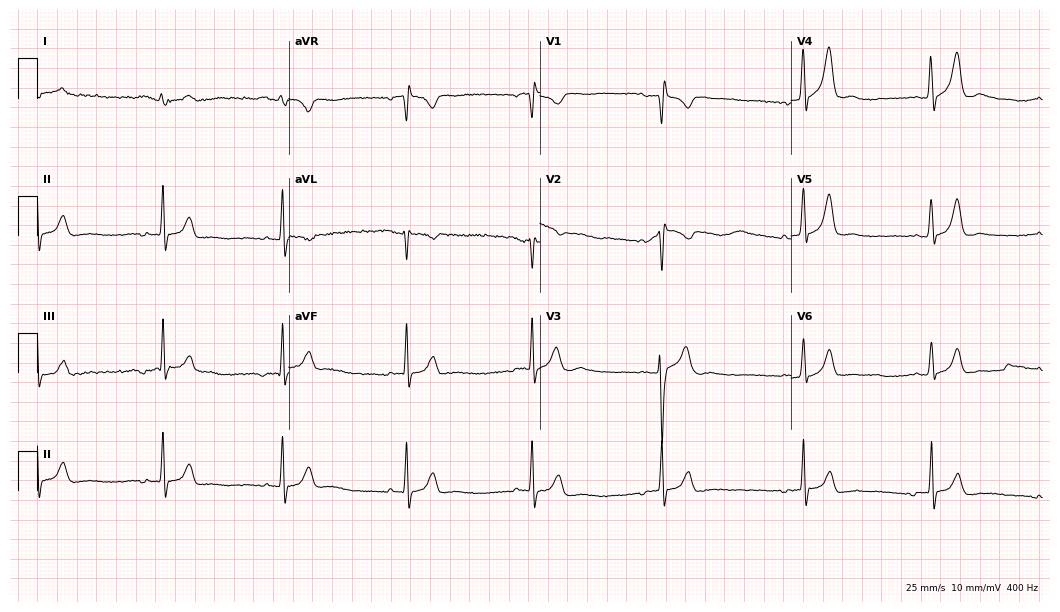
Resting 12-lead electrocardiogram (10.2-second recording at 400 Hz). Patient: a 29-year-old male. The tracing shows sinus bradycardia (a sinus rate of 50 beats per minute or less).